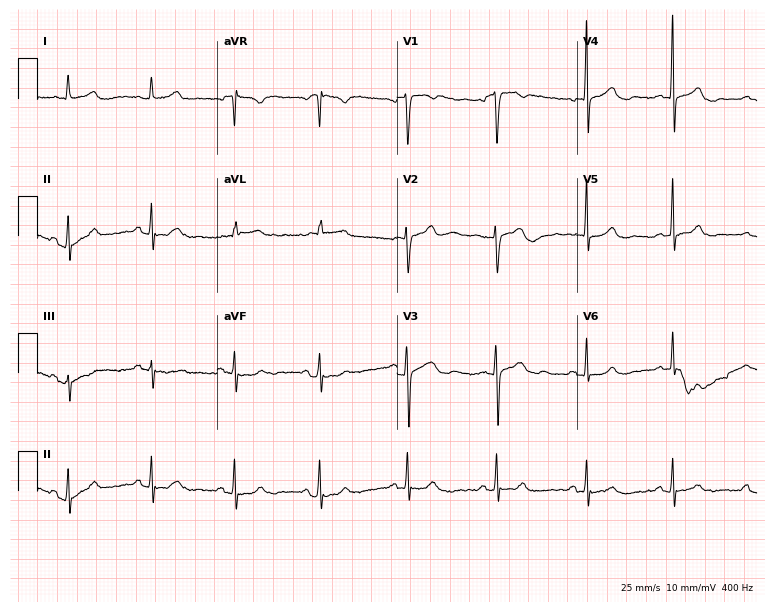
12-lead ECG from a female patient, 39 years old. Screened for six findings — first-degree AV block, right bundle branch block, left bundle branch block, sinus bradycardia, atrial fibrillation, sinus tachycardia — none is recorded.